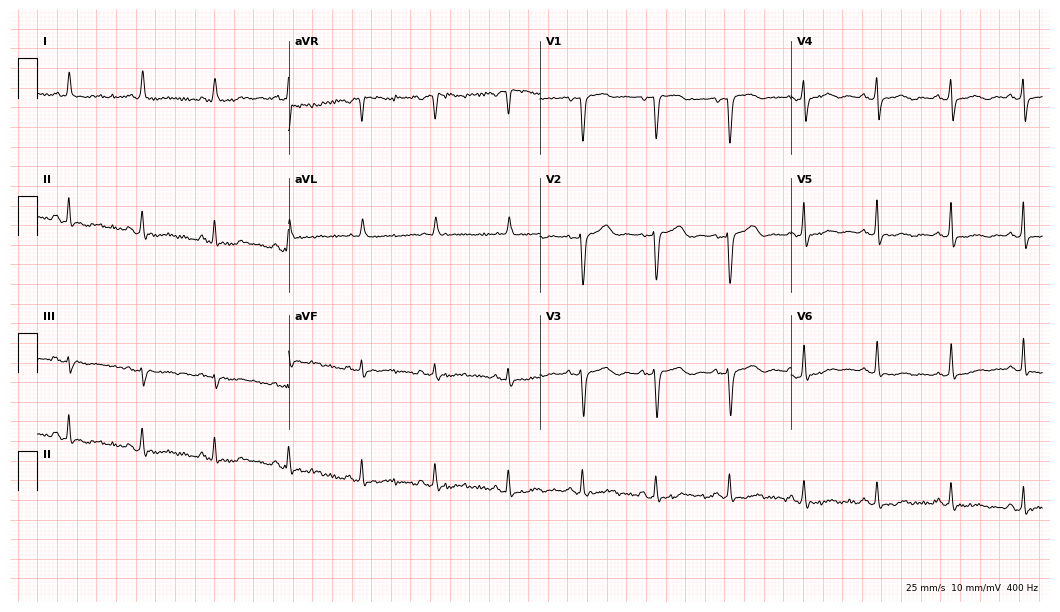
12-lead ECG from a female patient, 68 years old. Screened for six findings — first-degree AV block, right bundle branch block, left bundle branch block, sinus bradycardia, atrial fibrillation, sinus tachycardia — none is recorded. Findings outside these six are not listed.